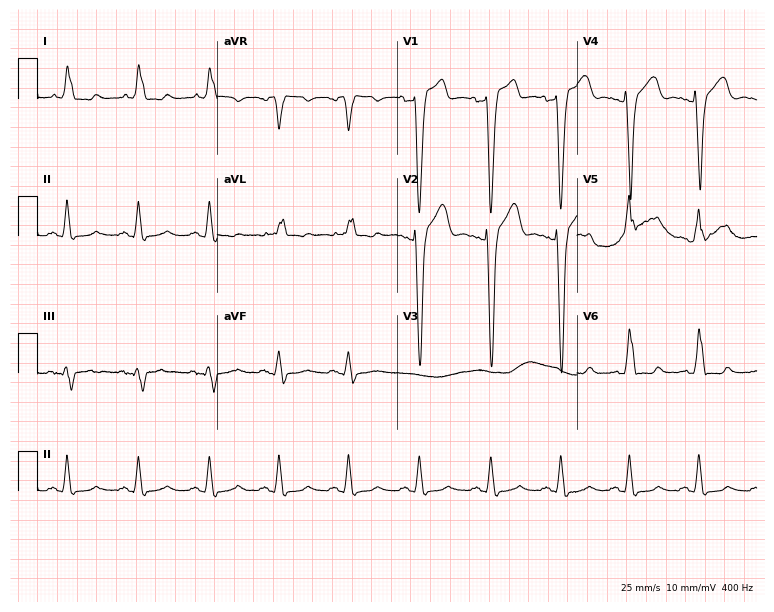
12-lead ECG from a man, 48 years old (7.3-second recording at 400 Hz). Shows left bundle branch block.